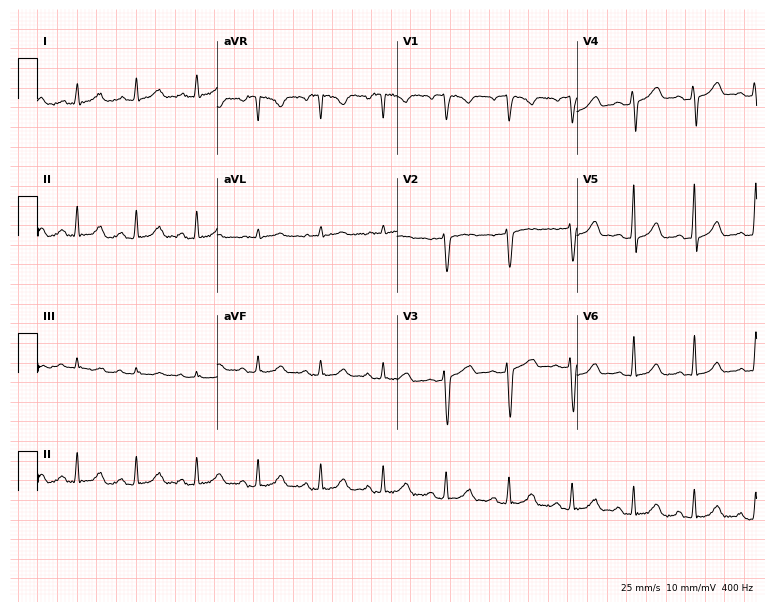
12-lead ECG (7.3-second recording at 400 Hz) from a 34-year-old female patient. Screened for six findings — first-degree AV block, right bundle branch block, left bundle branch block, sinus bradycardia, atrial fibrillation, sinus tachycardia — none is recorded. Other findings, if any, are not listed.